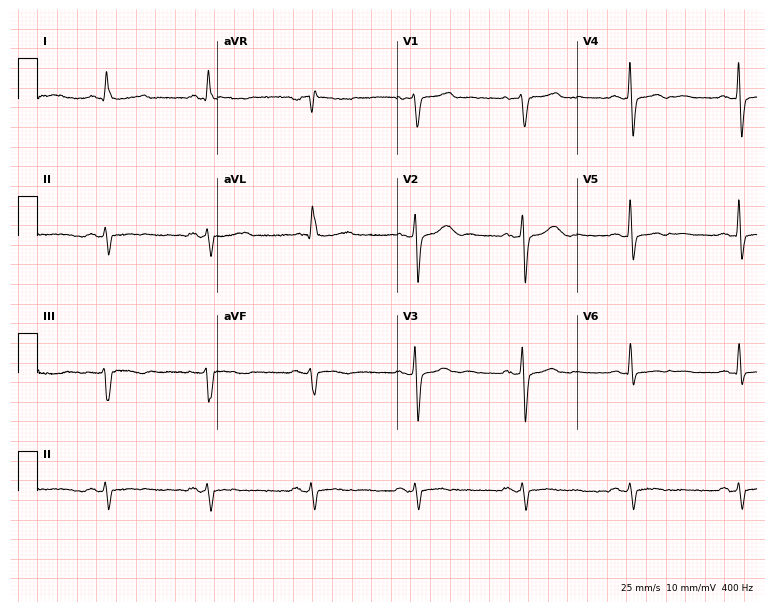
12-lead ECG from a 69-year-old male patient. No first-degree AV block, right bundle branch block, left bundle branch block, sinus bradycardia, atrial fibrillation or sinus tachycardia recorded for this tracing. Other findings, if any, are not listed.